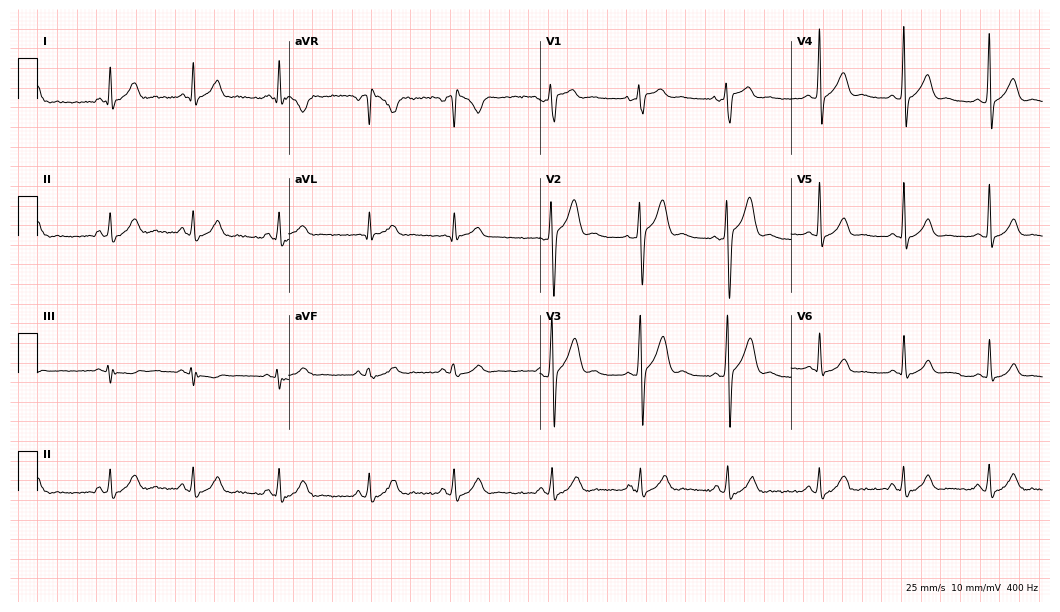
ECG — a male patient, 20 years old. Labelled as a normal ECG.